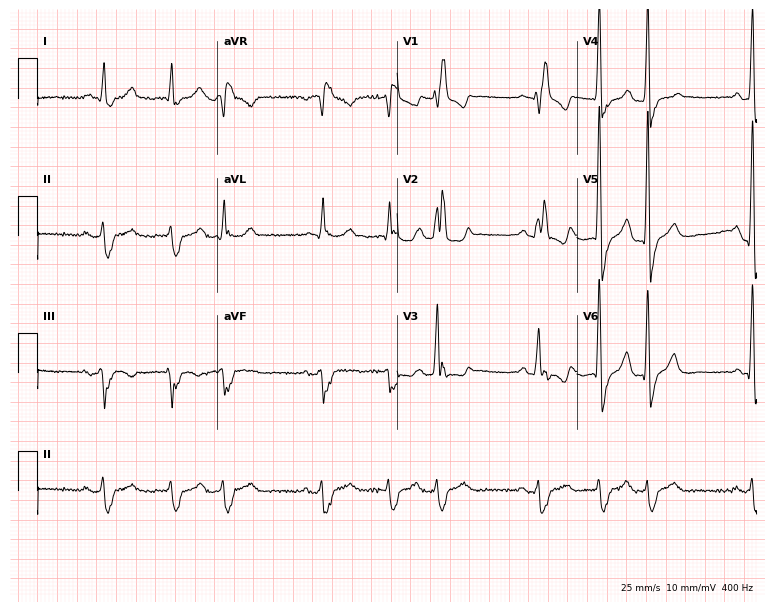
ECG (7.3-second recording at 400 Hz) — a male, 70 years old. Findings include right bundle branch block, atrial fibrillation.